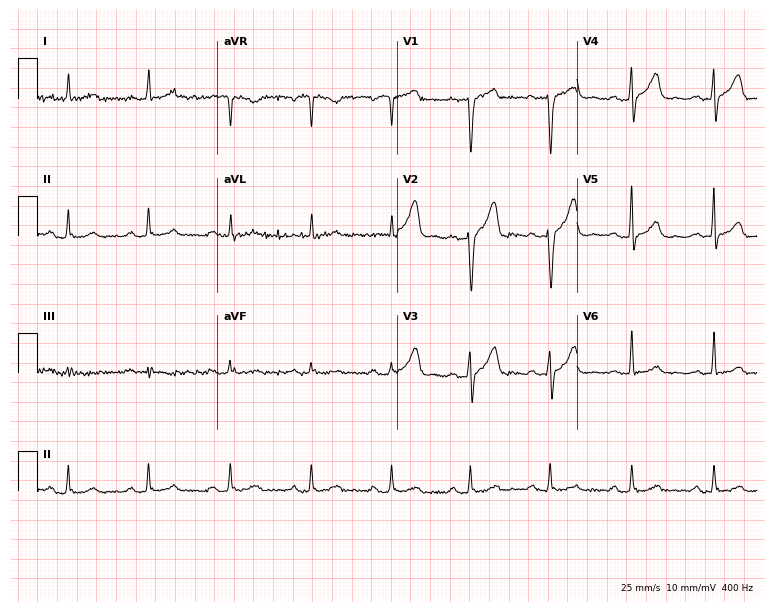
Electrocardiogram (7.3-second recording at 400 Hz), a 43-year-old man. Of the six screened findings (first-degree AV block, right bundle branch block, left bundle branch block, sinus bradycardia, atrial fibrillation, sinus tachycardia), none is recorded. Findings outside these six are not listed.